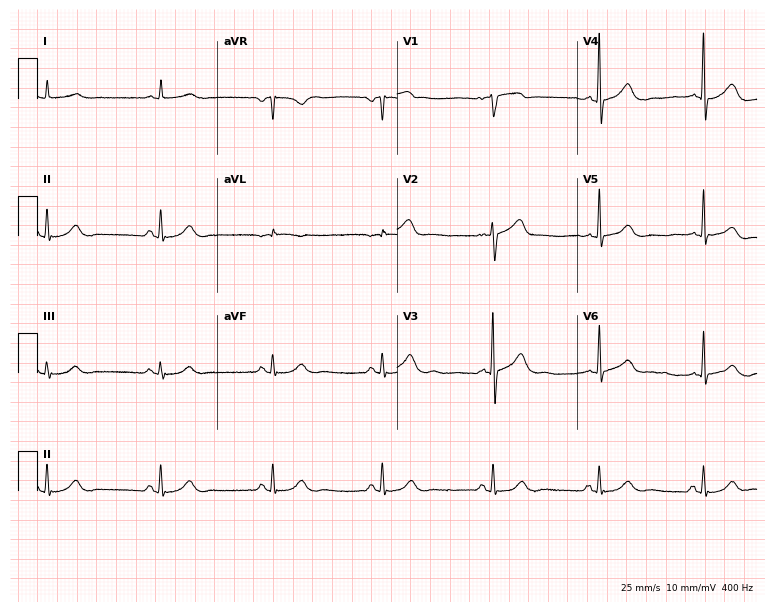
Standard 12-lead ECG recorded from a 69-year-old man. None of these six findings is recorded: first-degree AV block, right bundle branch block, left bundle branch block, sinus bradycardia, atrial fibrillation, sinus tachycardia.